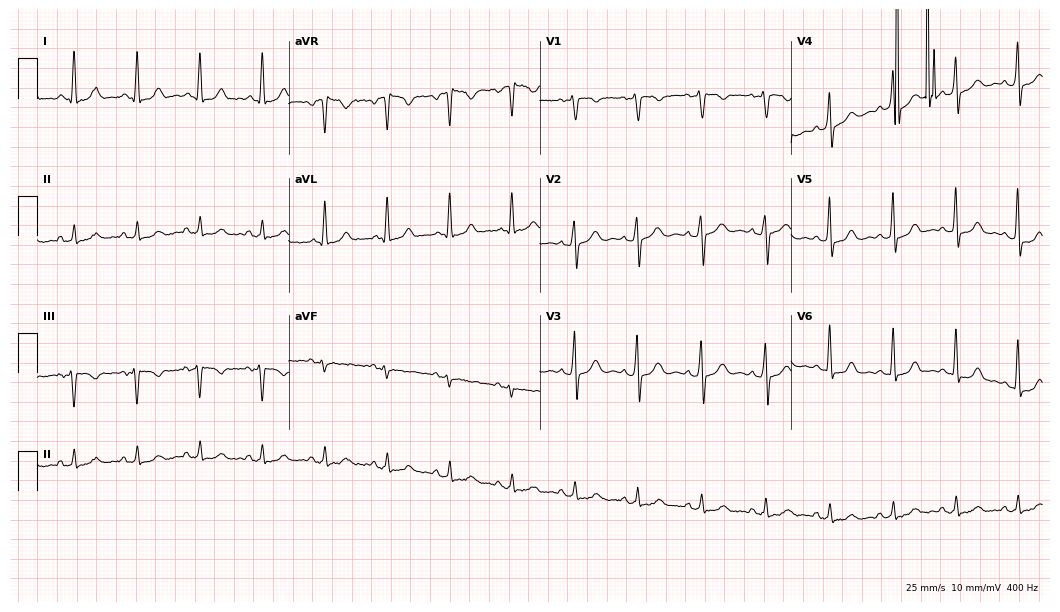
12-lead ECG from a 48-year-old female patient. No first-degree AV block, right bundle branch block, left bundle branch block, sinus bradycardia, atrial fibrillation or sinus tachycardia recorded for this tracing.